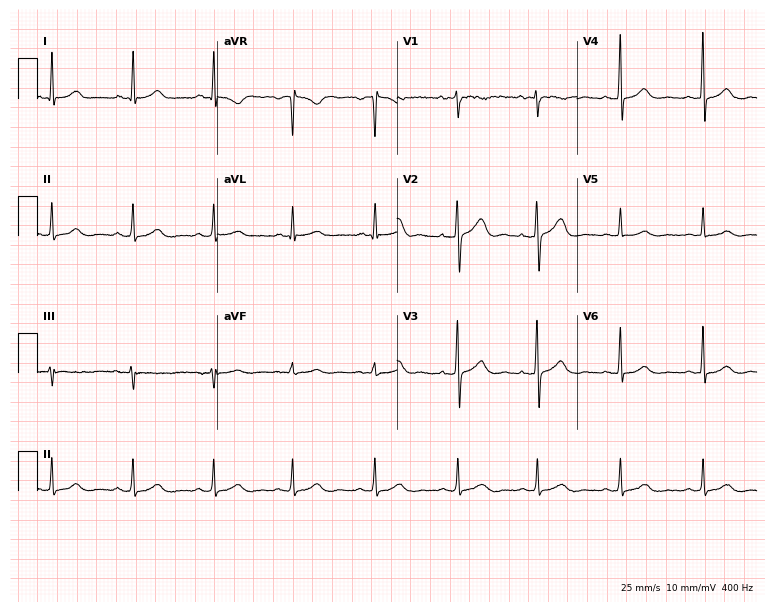
12-lead ECG (7.3-second recording at 400 Hz) from a female, 40 years old. Screened for six findings — first-degree AV block, right bundle branch block, left bundle branch block, sinus bradycardia, atrial fibrillation, sinus tachycardia — none is recorded.